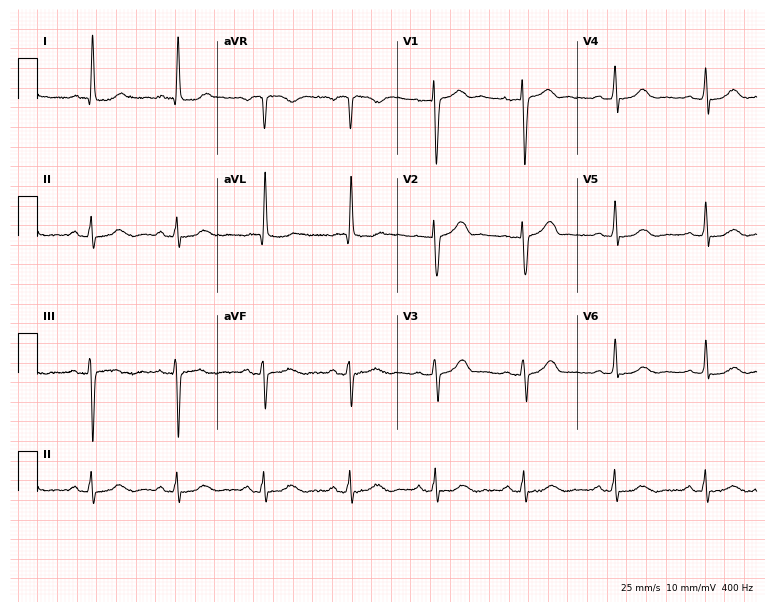
Electrocardiogram, a 76-year-old woman. Overall reading on record: normal ECG.